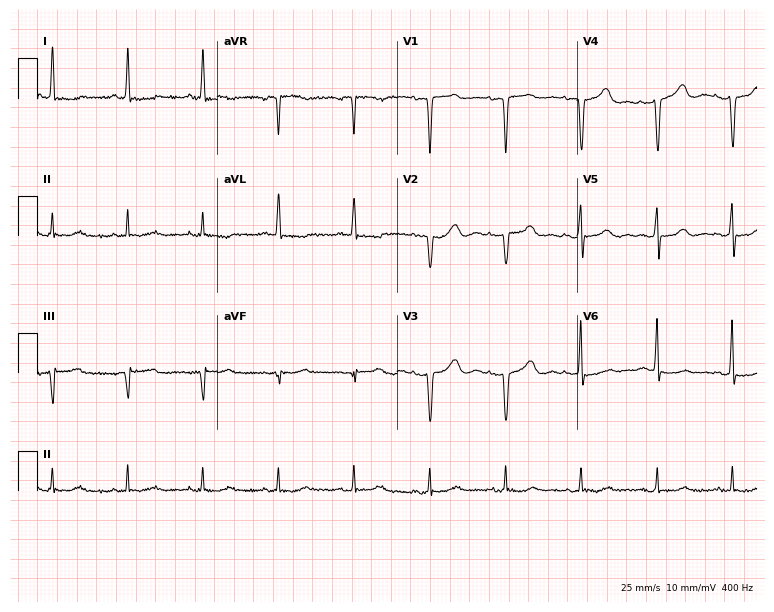
Electrocardiogram (7.3-second recording at 400 Hz), a 68-year-old woman. Of the six screened findings (first-degree AV block, right bundle branch block (RBBB), left bundle branch block (LBBB), sinus bradycardia, atrial fibrillation (AF), sinus tachycardia), none is recorded. Findings outside these six are not listed.